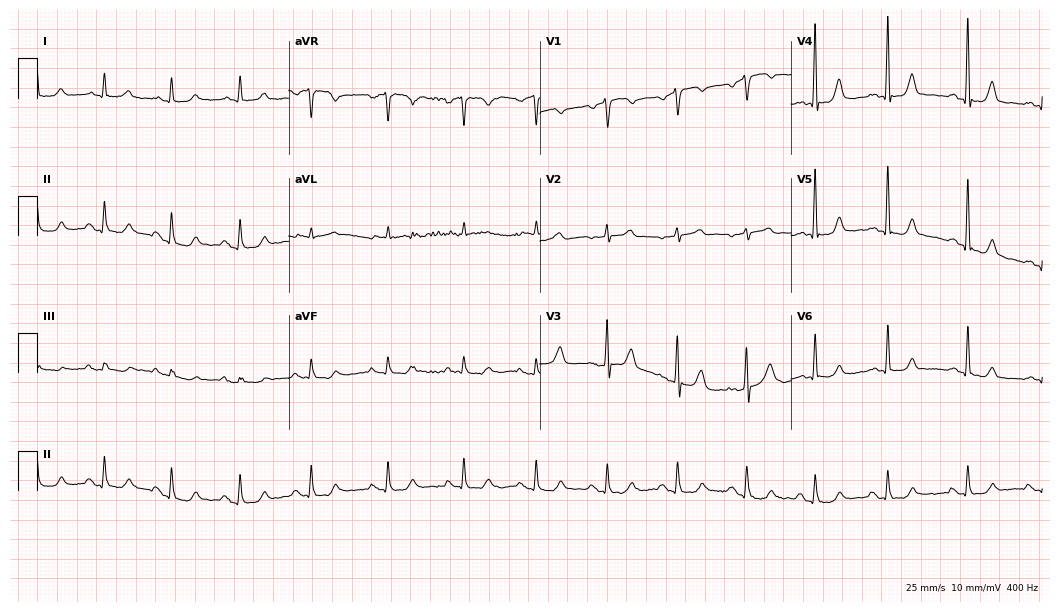
Standard 12-lead ECG recorded from a male patient, 70 years old (10.2-second recording at 400 Hz). Read as a normal ECG.